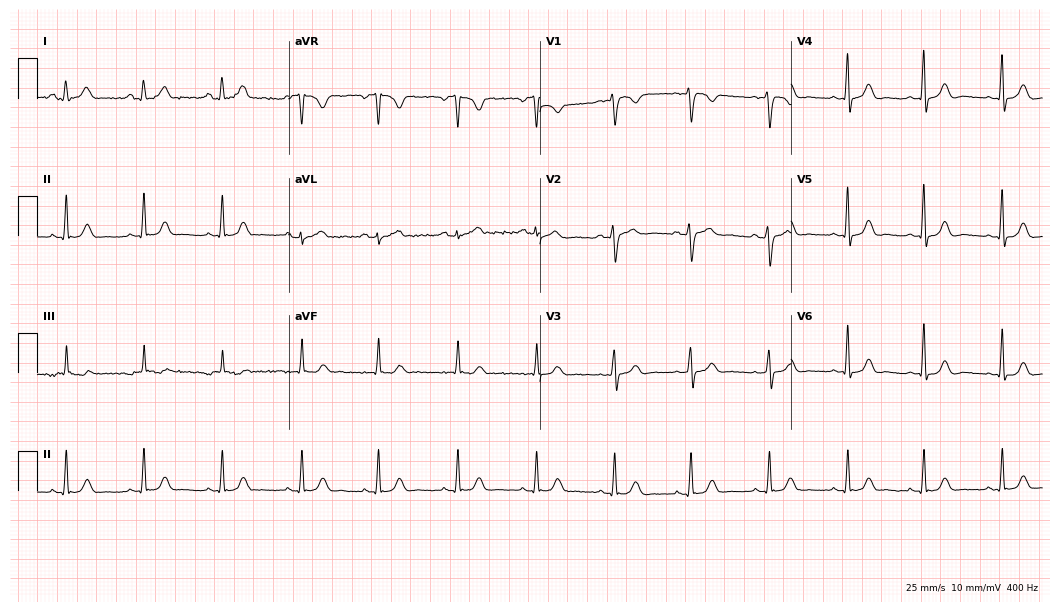
ECG — a woman, 32 years old. Labelled as a normal ECG.